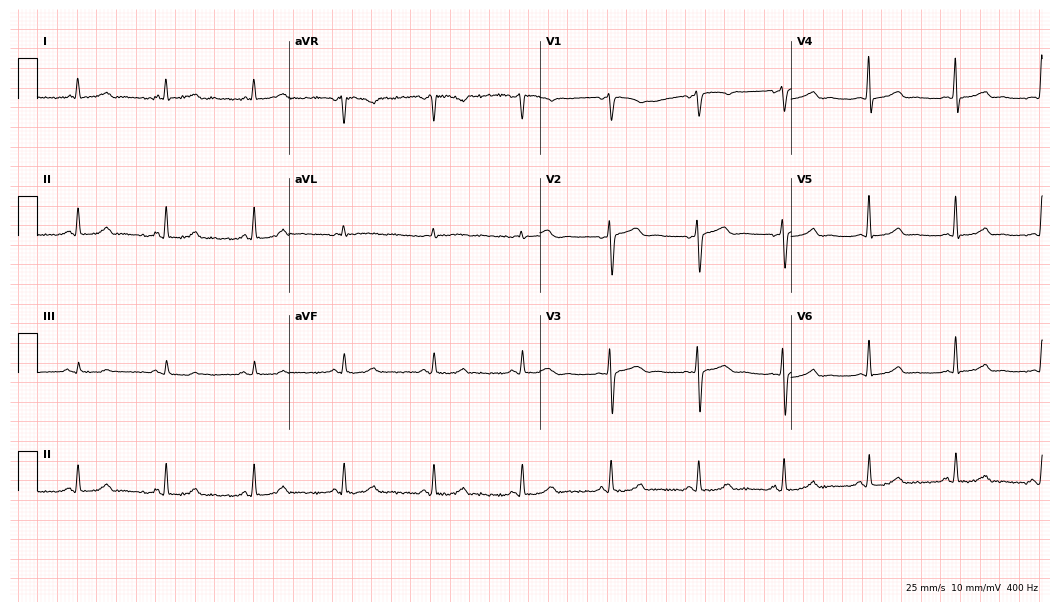
12-lead ECG from a female, 42 years old (10.2-second recording at 400 Hz). Recorded interpretation: within normal limits.